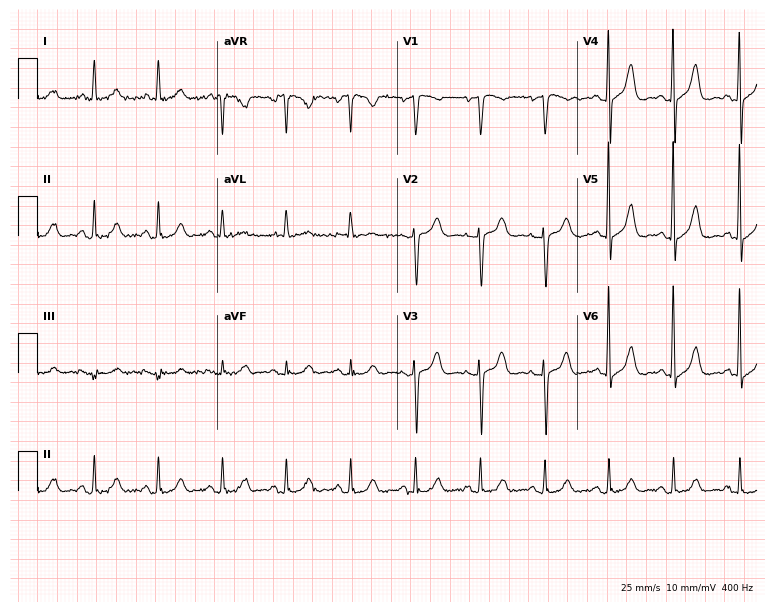
Standard 12-lead ECG recorded from a 73-year-old female patient. None of these six findings is recorded: first-degree AV block, right bundle branch block, left bundle branch block, sinus bradycardia, atrial fibrillation, sinus tachycardia. Findings outside these six are not listed.